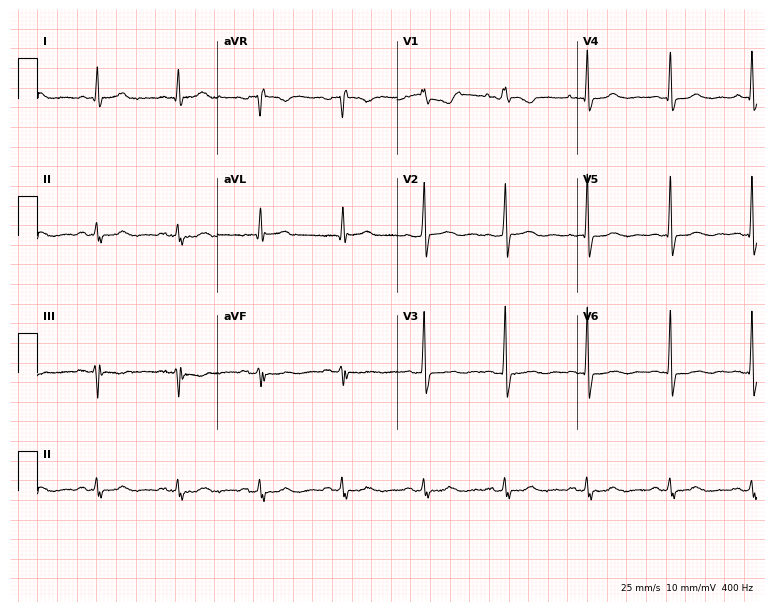
Electrocardiogram, a 52-year-old female. Of the six screened findings (first-degree AV block, right bundle branch block (RBBB), left bundle branch block (LBBB), sinus bradycardia, atrial fibrillation (AF), sinus tachycardia), none is recorded.